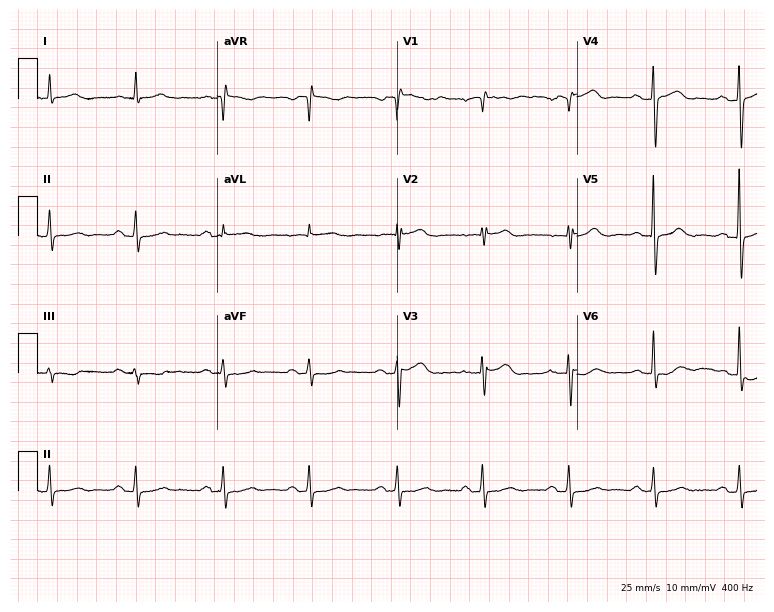
Resting 12-lead electrocardiogram (7.3-second recording at 400 Hz). Patient: an 82-year-old woman. None of these six findings is recorded: first-degree AV block, right bundle branch block, left bundle branch block, sinus bradycardia, atrial fibrillation, sinus tachycardia. Findings outside these six are not listed.